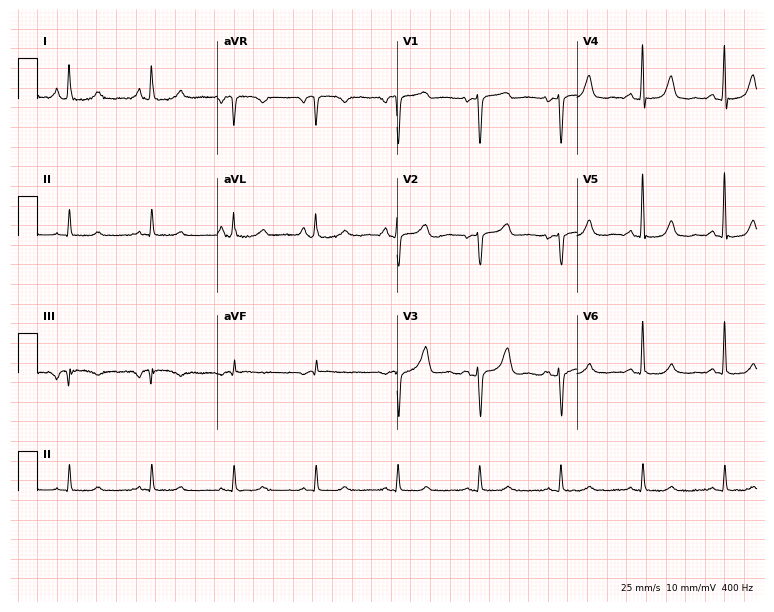
12-lead ECG from a female, 80 years old. No first-degree AV block, right bundle branch block, left bundle branch block, sinus bradycardia, atrial fibrillation or sinus tachycardia recorded for this tracing.